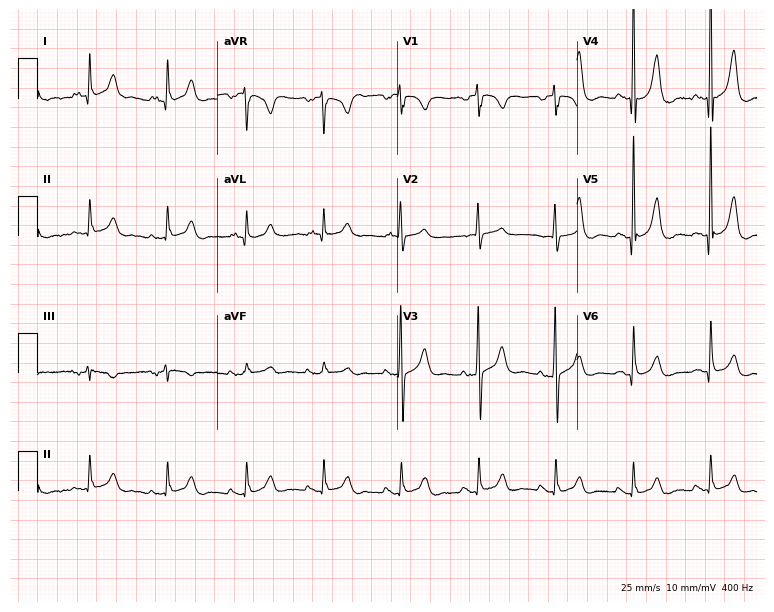
12-lead ECG from a female patient, 85 years old. Recorded interpretation: within normal limits.